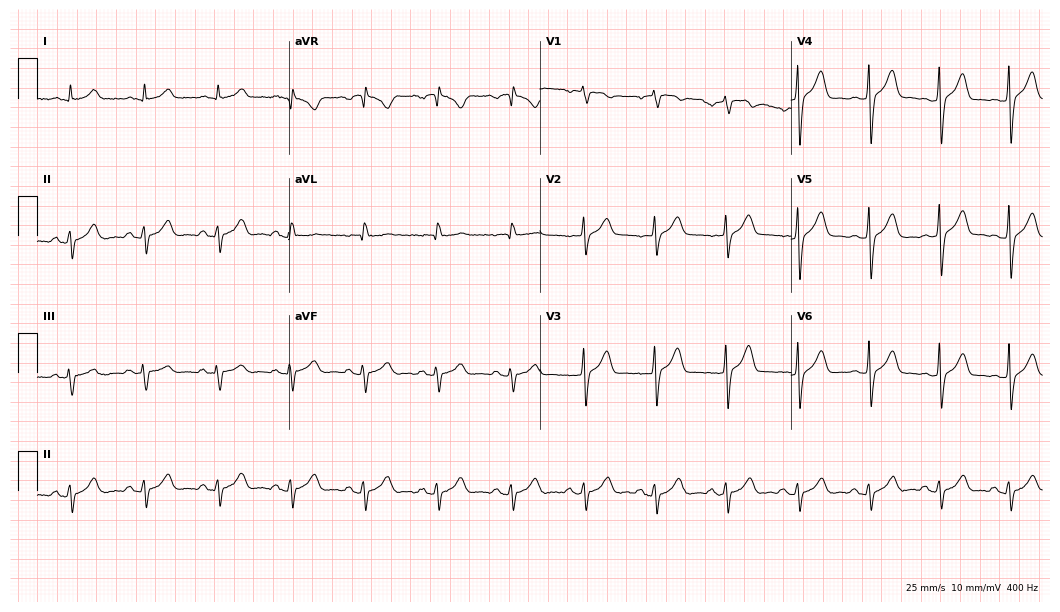
12-lead ECG from a 57-year-old man. No first-degree AV block, right bundle branch block, left bundle branch block, sinus bradycardia, atrial fibrillation or sinus tachycardia recorded for this tracing. Other findings, if any, are not listed.